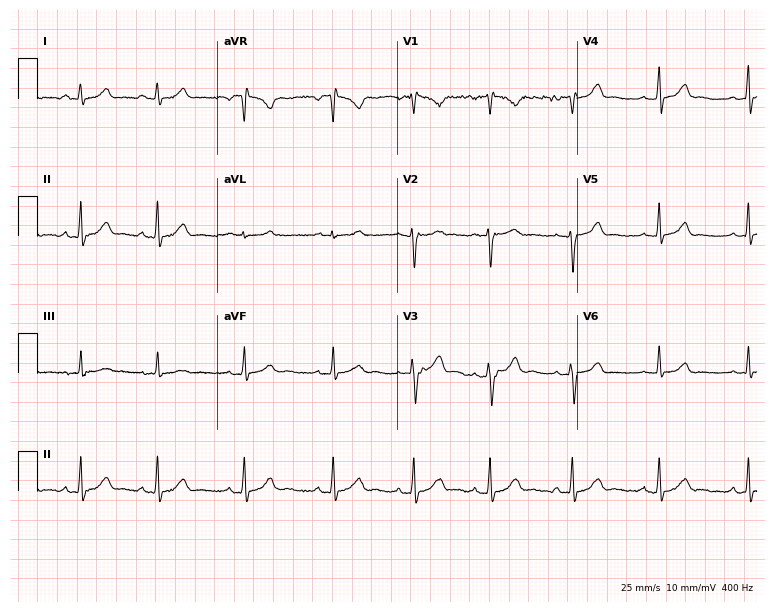
12-lead ECG from a female, 25 years old. Recorded interpretation: within normal limits.